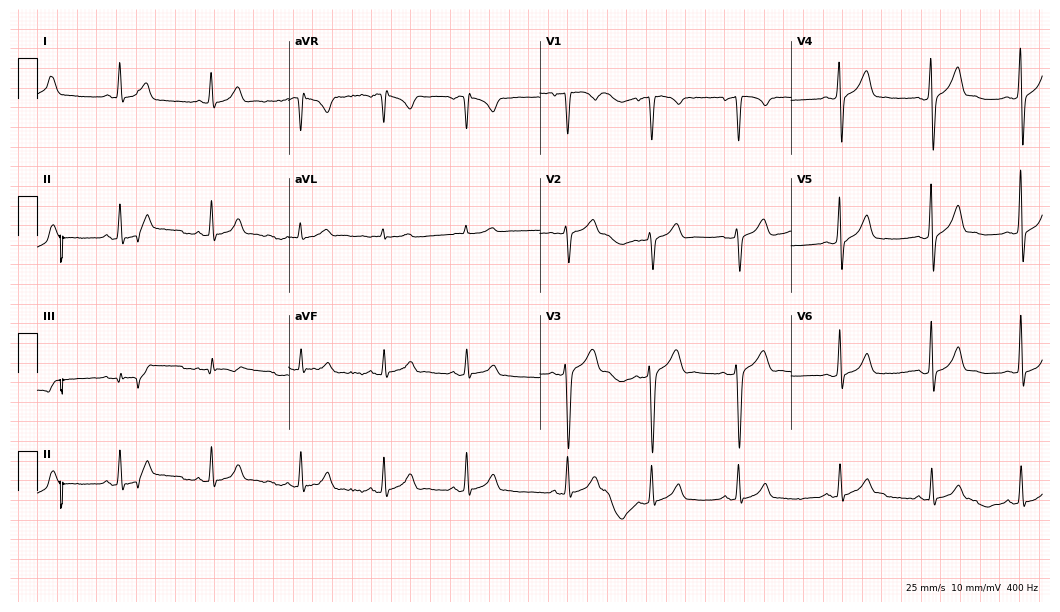
Resting 12-lead electrocardiogram. Patient: a 24-year-old man. Read as a normal ECG.